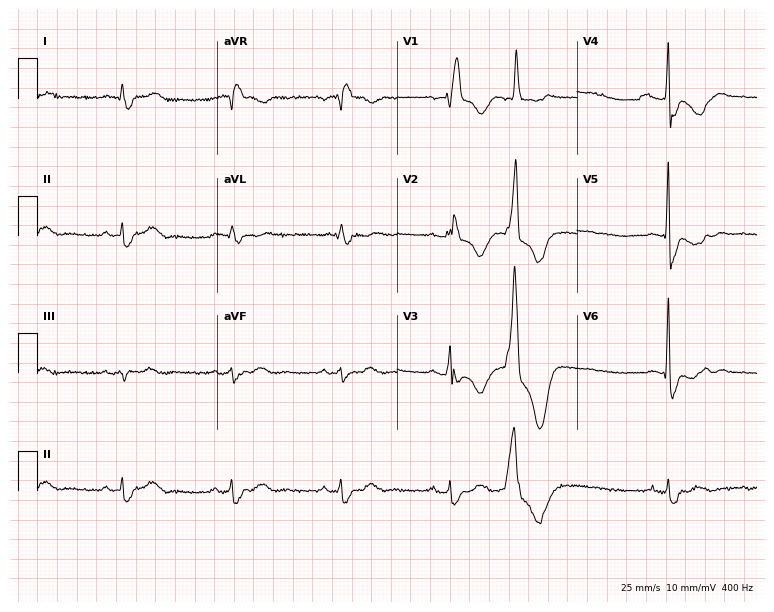
12-lead ECG (7.3-second recording at 400 Hz) from a woman, 69 years old. Findings include right bundle branch block.